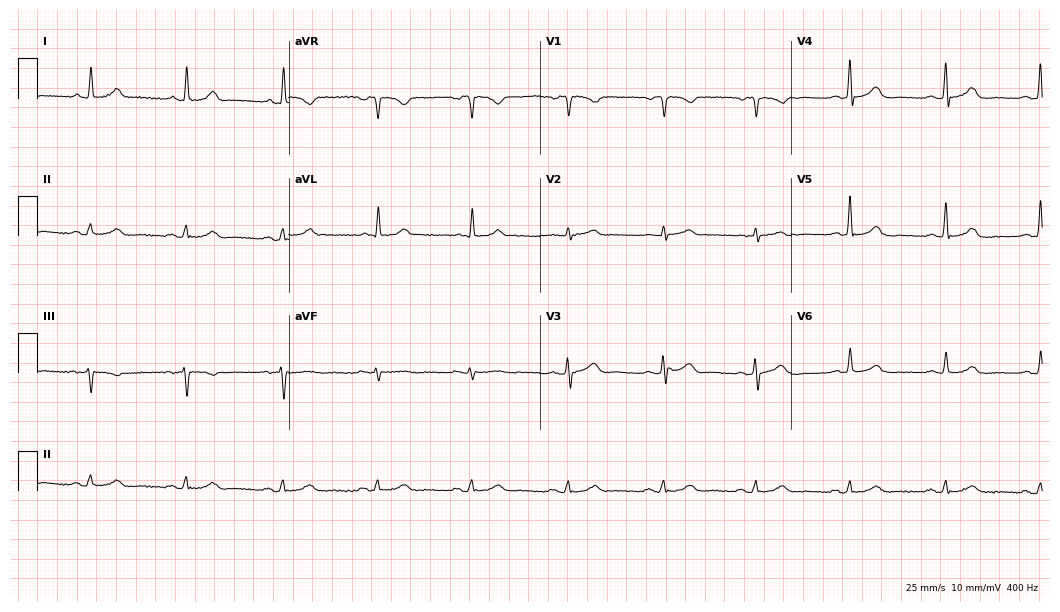
ECG (10.2-second recording at 400 Hz) — a male patient, 62 years old. Labelled as a normal ECG.